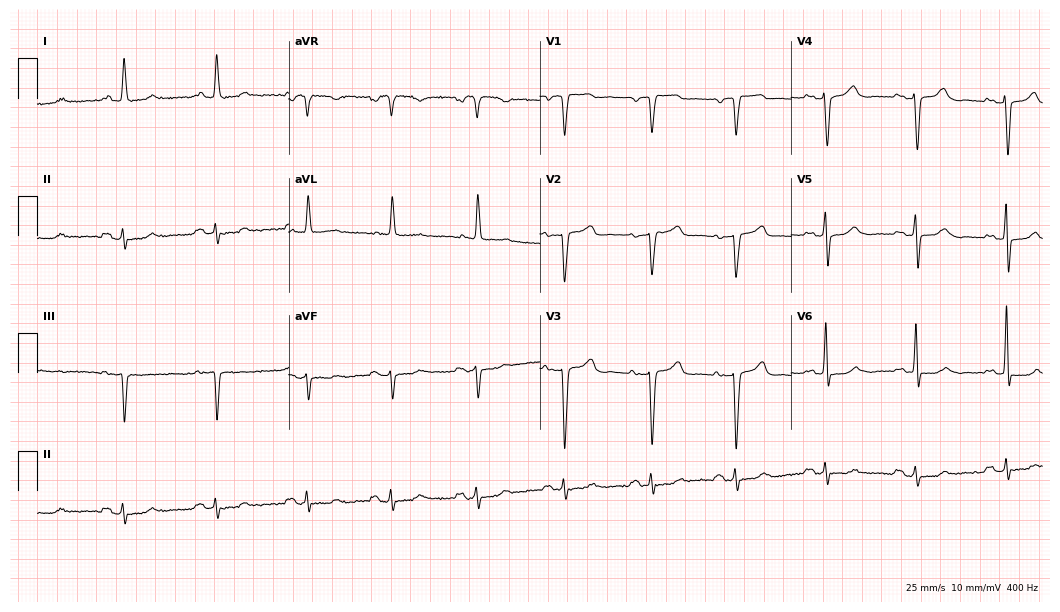
12-lead ECG from a female, 68 years old. Recorded interpretation: within normal limits.